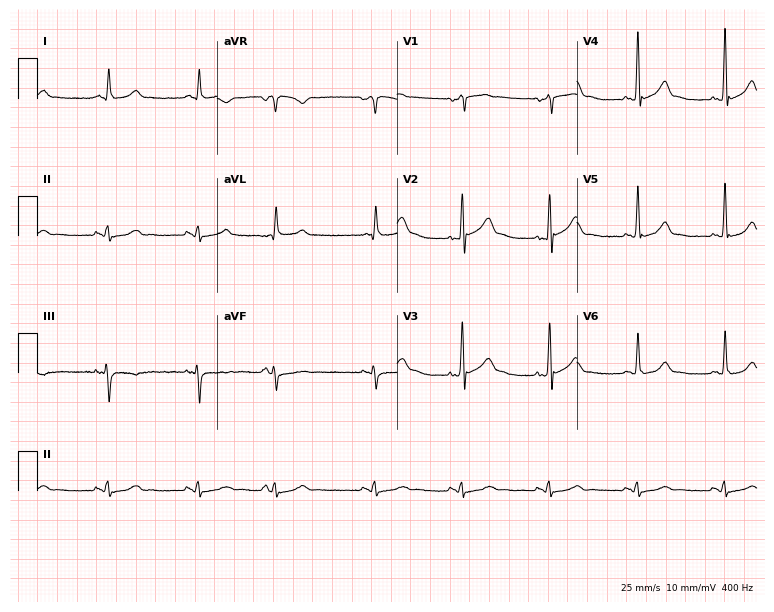
ECG — a 68-year-old man. Labelled as a normal ECG.